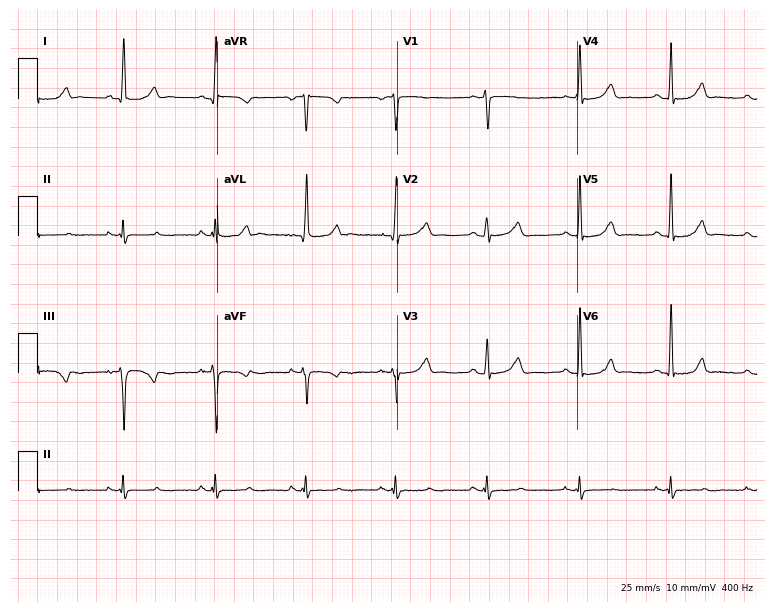
Resting 12-lead electrocardiogram. Patient: a 53-year-old female. None of these six findings is recorded: first-degree AV block, right bundle branch block, left bundle branch block, sinus bradycardia, atrial fibrillation, sinus tachycardia. Other findings, if any, are not listed.